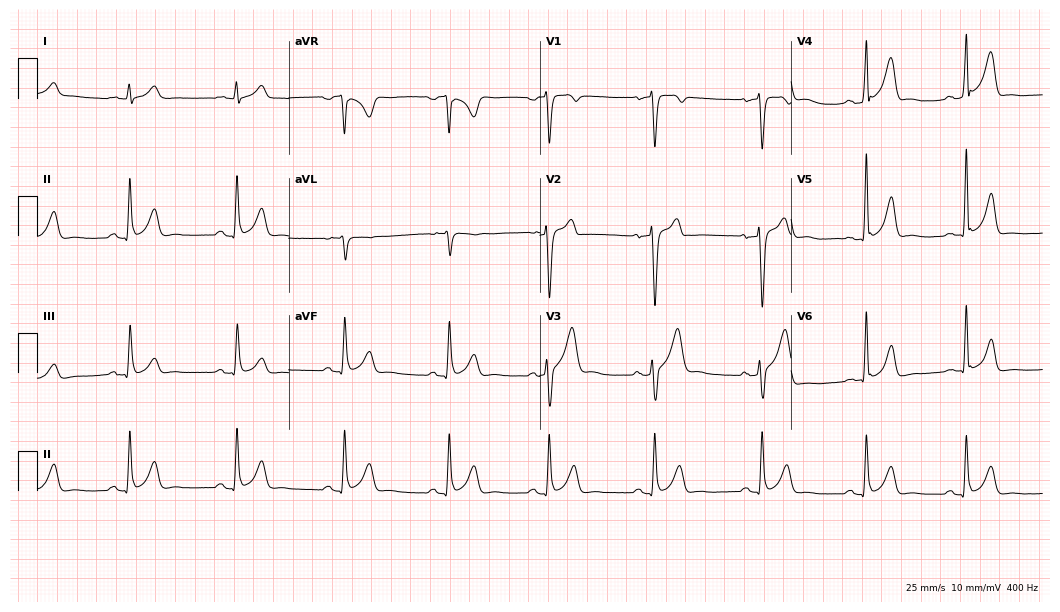
Resting 12-lead electrocardiogram. Patient: a 31-year-old man. None of these six findings is recorded: first-degree AV block, right bundle branch block, left bundle branch block, sinus bradycardia, atrial fibrillation, sinus tachycardia. Other findings, if any, are not listed.